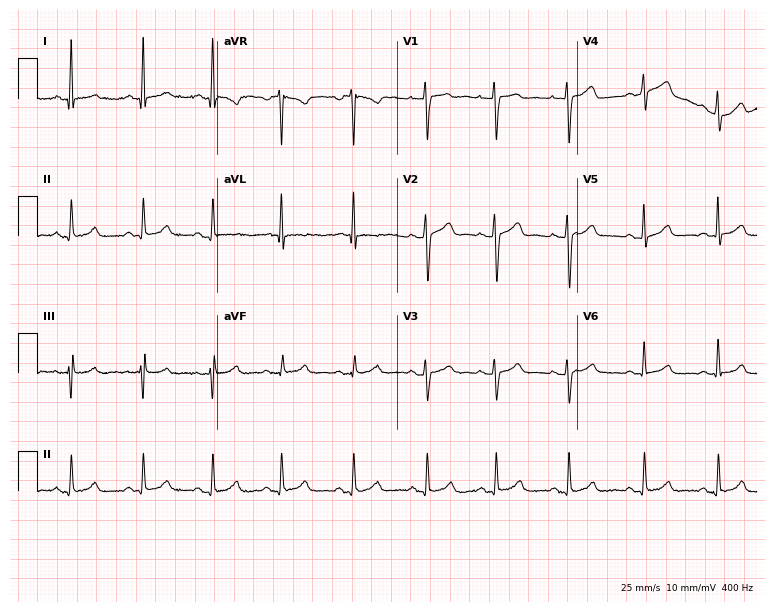
Electrocardiogram (7.3-second recording at 400 Hz), a 39-year-old female patient. Of the six screened findings (first-degree AV block, right bundle branch block, left bundle branch block, sinus bradycardia, atrial fibrillation, sinus tachycardia), none is recorded.